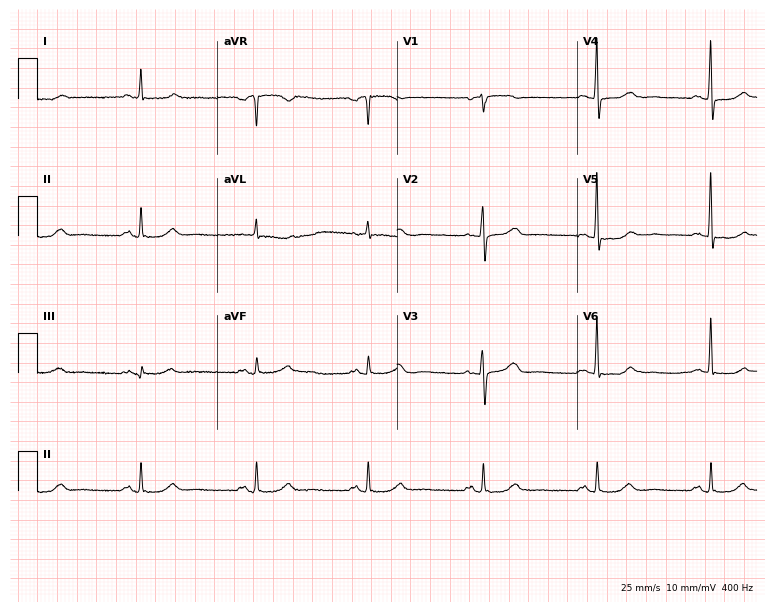
12-lead ECG from a 70-year-old female patient. Screened for six findings — first-degree AV block, right bundle branch block (RBBB), left bundle branch block (LBBB), sinus bradycardia, atrial fibrillation (AF), sinus tachycardia — none is recorded. Findings outside these six are not listed.